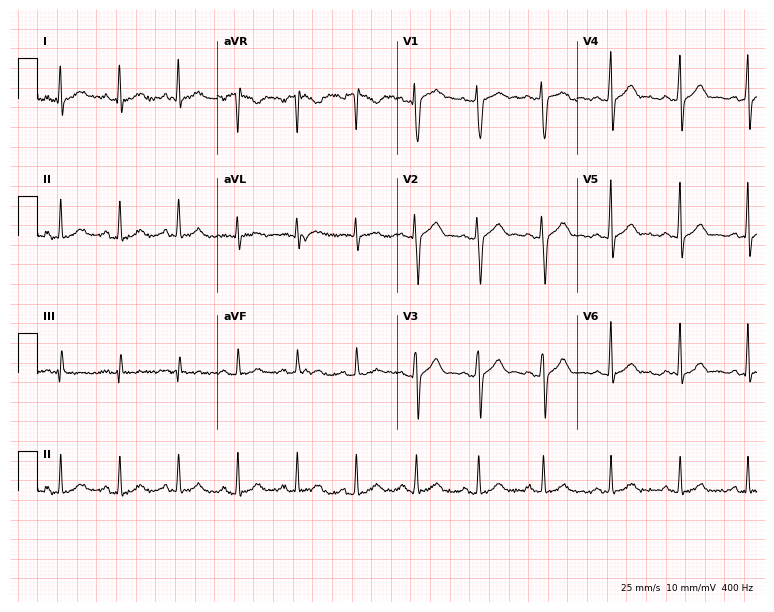
Electrocardiogram, a 26-year-old man. Of the six screened findings (first-degree AV block, right bundle branch block (RBBB), left bundle branch block (LBBB), sinus bradycardia, atrial fibrillation (AF), sinus tachycardia), none is recorded. Findings outside these six are not listed.